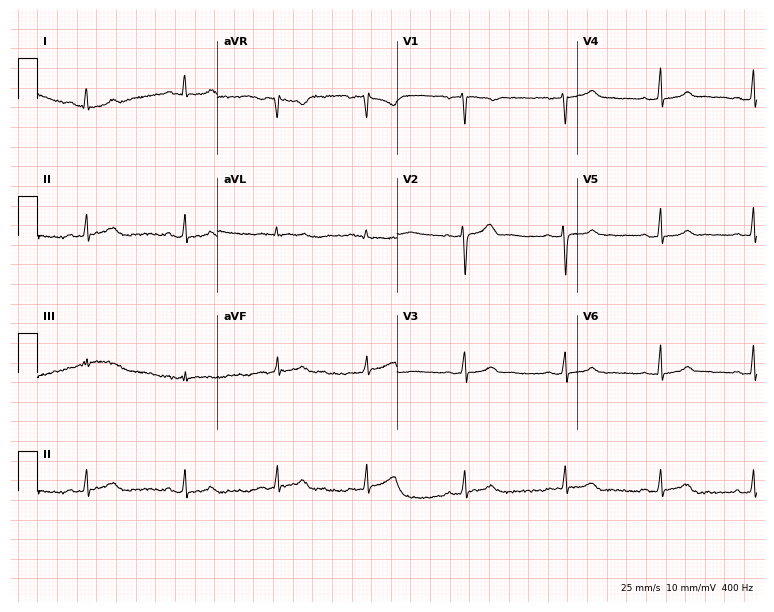
Electrocardiogram (7.3-second recording at 400 Hz), a female patient, 32 years old. Of the six screened findings (first-degree AV block, right bundle branch block (RBBB), left bundle branch block (LBBB), sinus bradycardia, atrial fibrillation (AF), sinus tachycardia), none is recorded. Only these six findings were labelled.